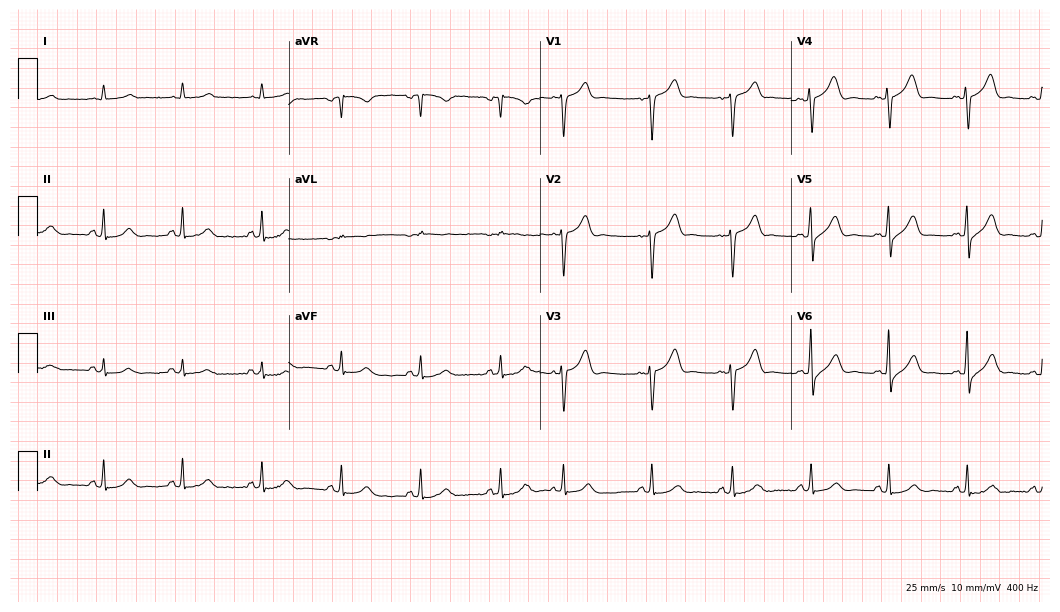
12-lead ECG from a 62-year-old male (10.2-second recording at 400 Hz). No first-degree AV block, right bundle branch block (RBBB), left bundle branch block (LBBB), sinus bradycardia, atrial fibrillation (AF) or sinus tachycardia recorded for this tracing. Findings outside these six are not listed.